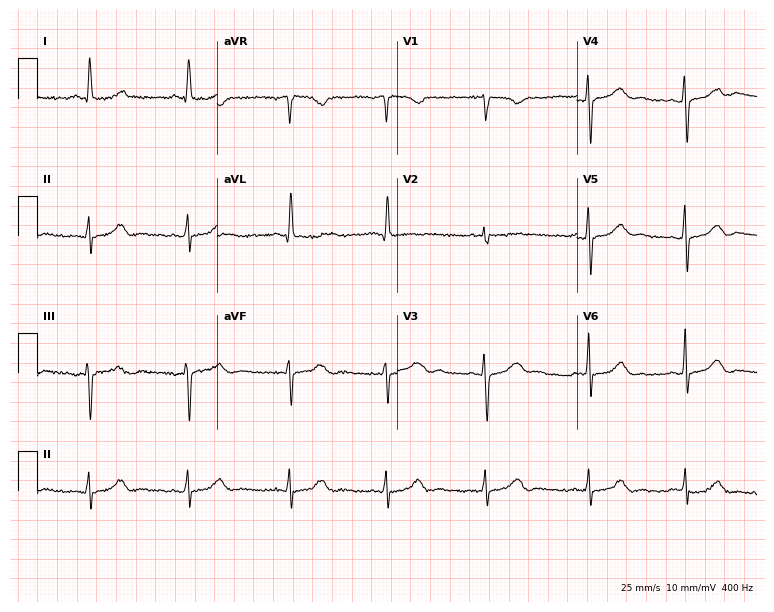
ECG — a 70-year-old female patient. Screened for six findings — first-degree AV block, right bundle branch block, left bundle branch block, sinus bradycardia, atrial fibrillation, sinus tachycardia — none is recorded.